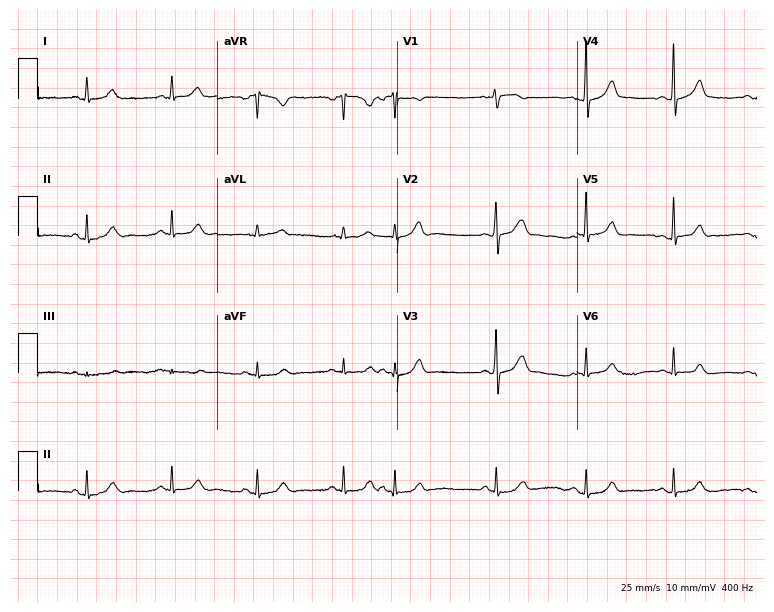
Electrocardiogram, a 50-year-old female. Of the six screened findings (first-degree AV block, right bundle branch block, left bundle branch block, sinus bradycardia, atrial fibrillation, sinus tachycardia), none is recorded. Findings outside these six are not listed.